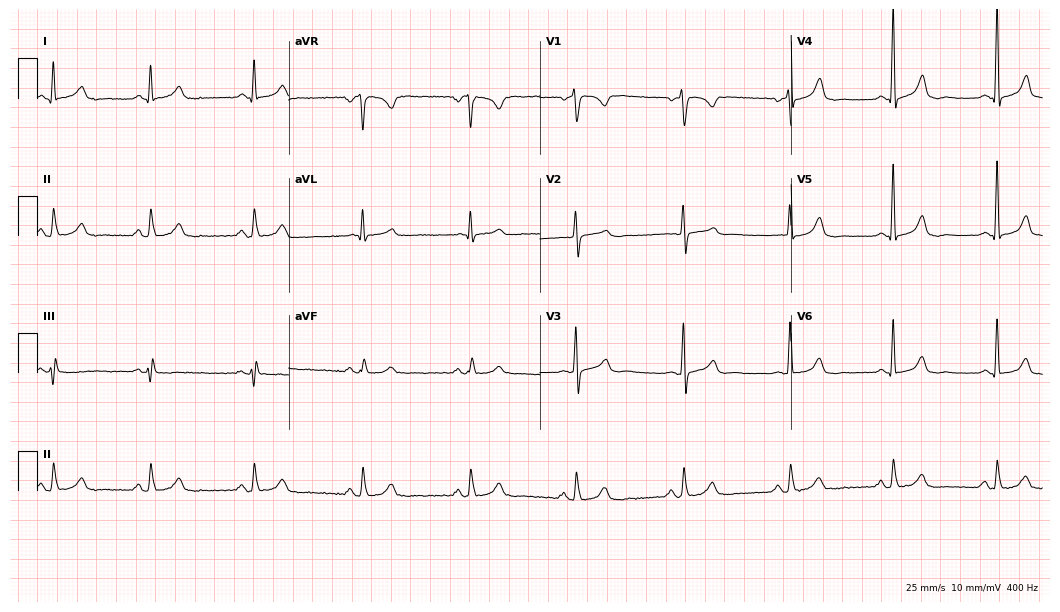
12-lead ECG (10.2-second recording at 400 Hz) from a 68-year-old woman. Screened for six findings — first-degree AV block, right bundle branch block, left bundle branch block, sinus bradycardia, atrial fibrillation, sinus tachycardia — none is recorded.